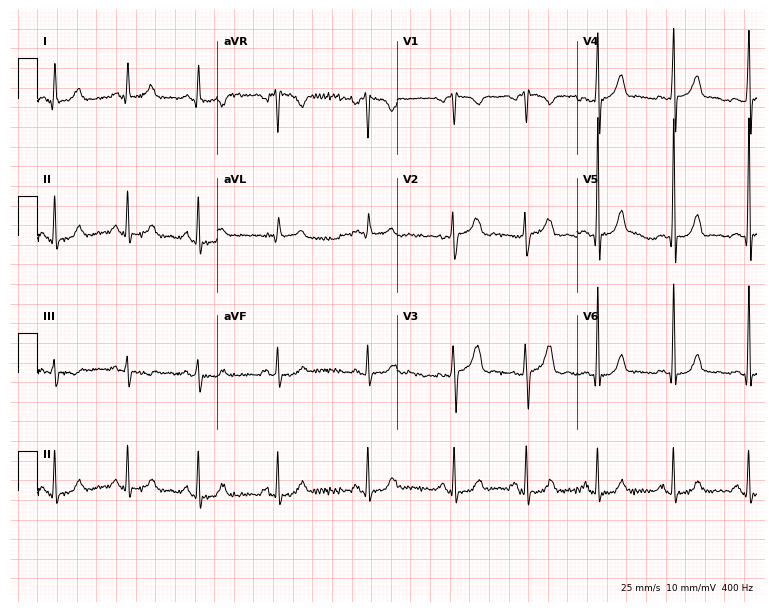
ECG — a 39-year-old male patient. Labelled as a normal ECG.